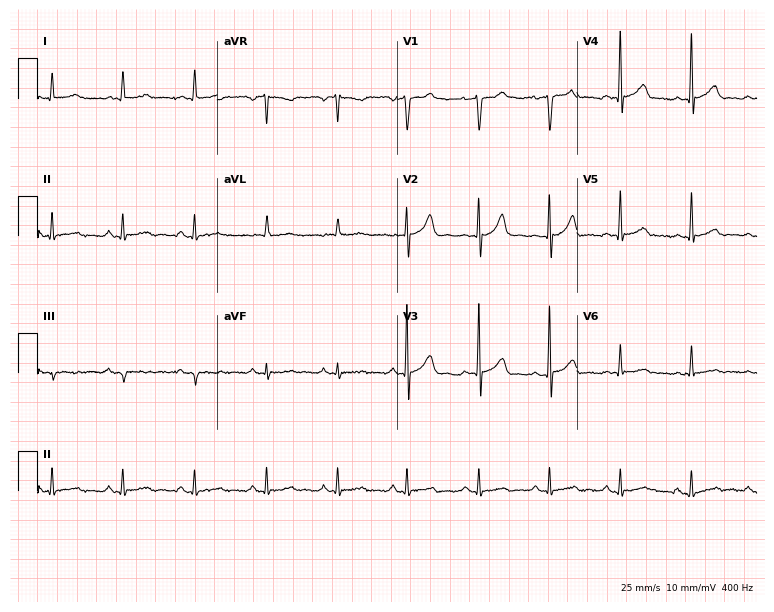
ECG (7.3-second recording at 400 Hz) — a 69-year-old male. Screened for six findings — first-degree AV block, right bundle branch block (RBBB), left bundle branch block (LBBB), sinus bradycardia, atrial fibrillation (AF), sinus tachycardia — none is recorded.